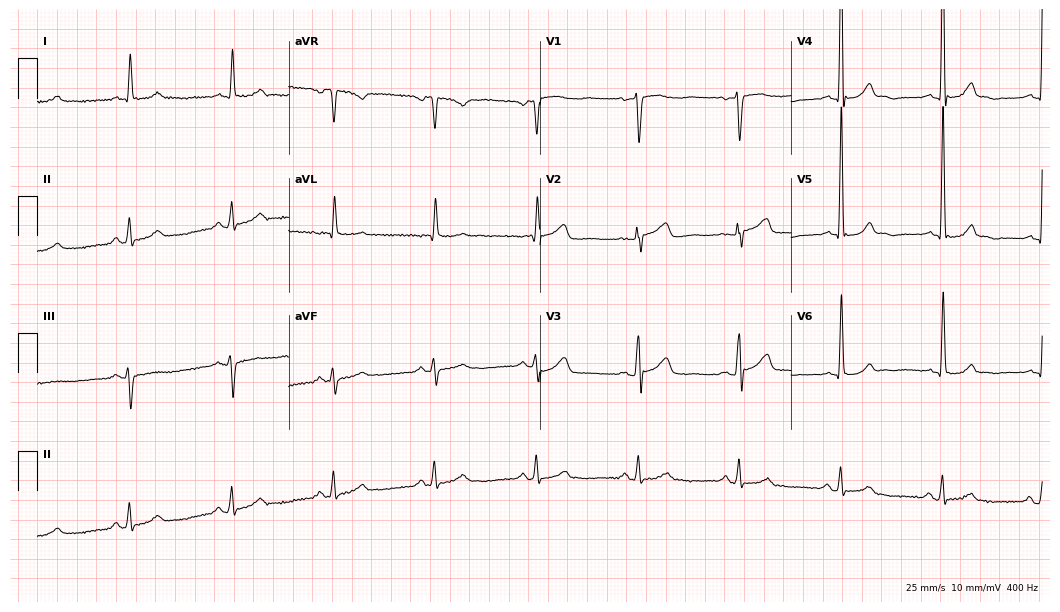
12-lead ECG (10.2-second recording at 400 Hz) from a woman, 78 years old. Screened for six findings — first-degree AV block, right bundle branch block (RBBB), left bundle branch block (LBBB), sinus bradycardia, atrial fibrillation (AF), sinus tachycardia — none is recorded. Other findings, if any, are not listed.